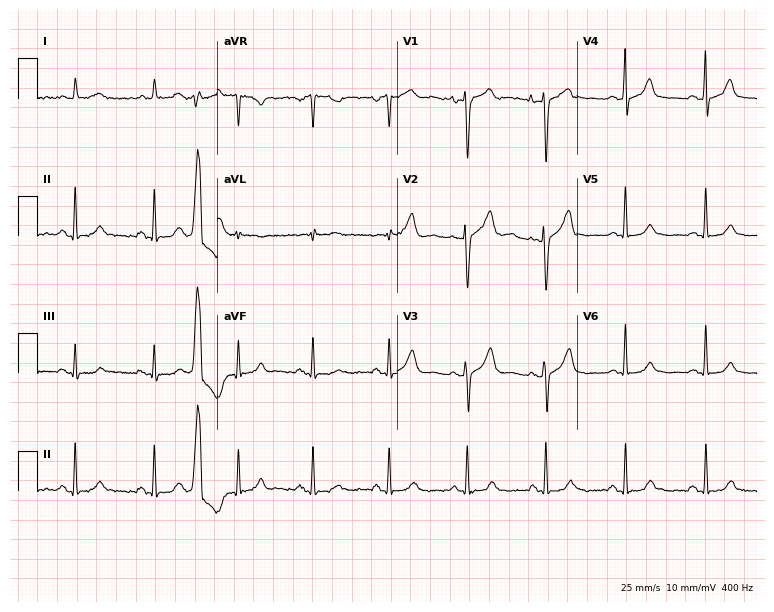
Electrocardiogram, a 57-year-old woman. Of the six screened findings (first-degree AV block, right bundle branch block, left bundle branch block, sinus bradycardia, atrial fibrillation, sinus tachycardia), none is recorded.